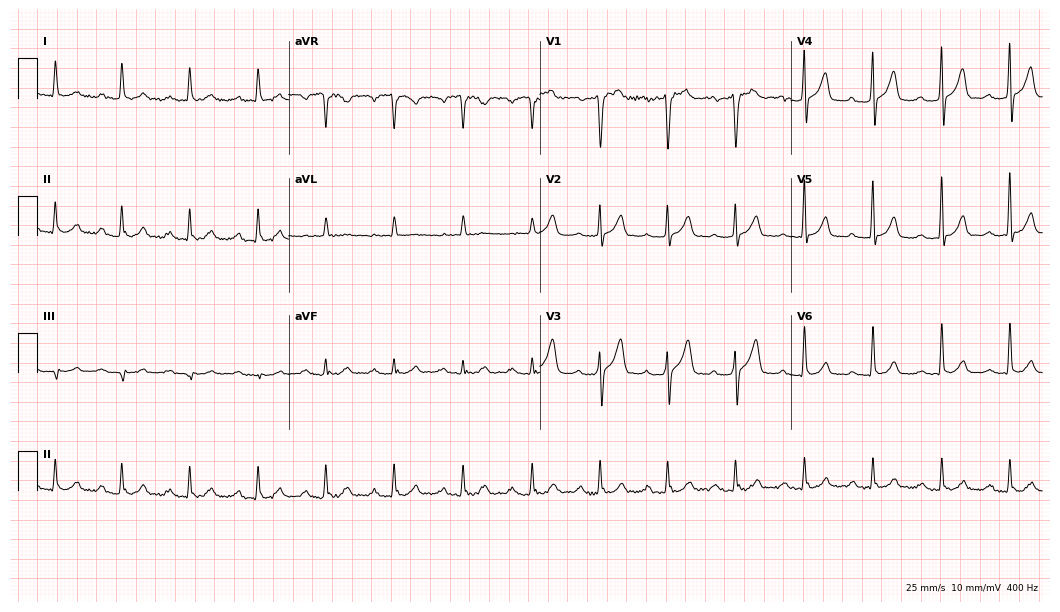
Standard 12-lead ECG recorded from a man, 49 years old (10.2-second recording at 400 Hz). Read as a normal ECG.